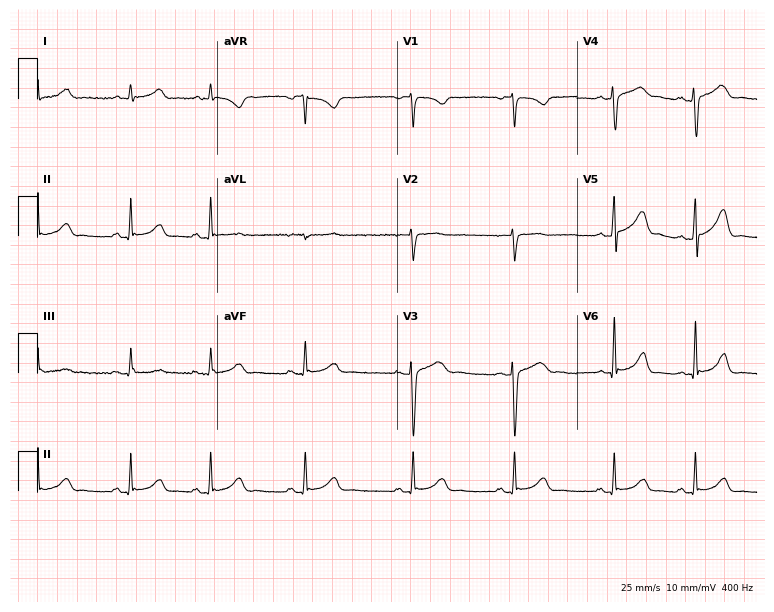
Electrocardiogram, a female, 21 years old. Overall reading on record: normal ECG.